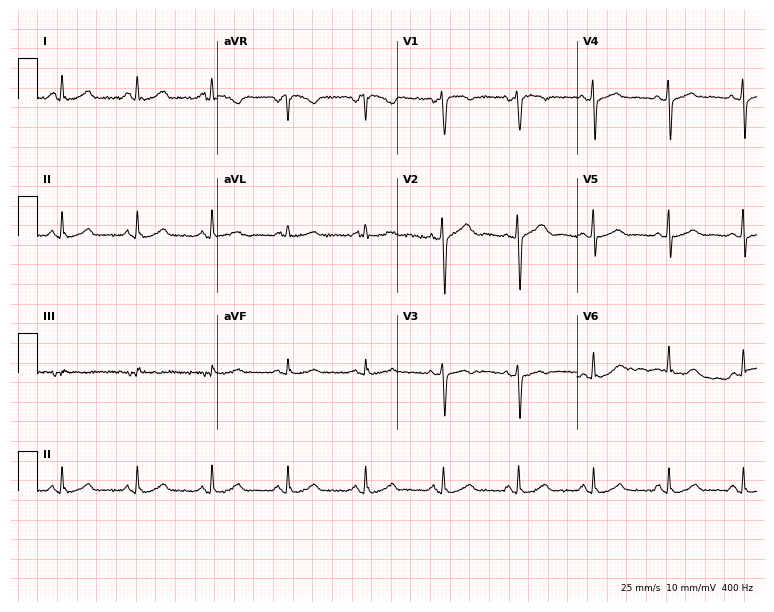
12-lead ECG (7.3-second recording at 400 Hz) from a 50-year-old female patient. Labelled as a normal ECG.